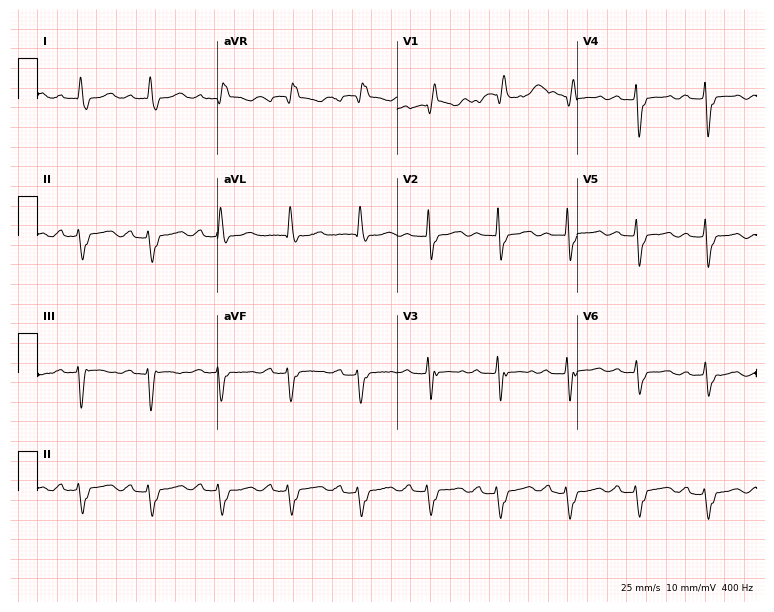
ECG — a female patient, 71 years old. Findings include first-degree AV block, right bundle branch block.